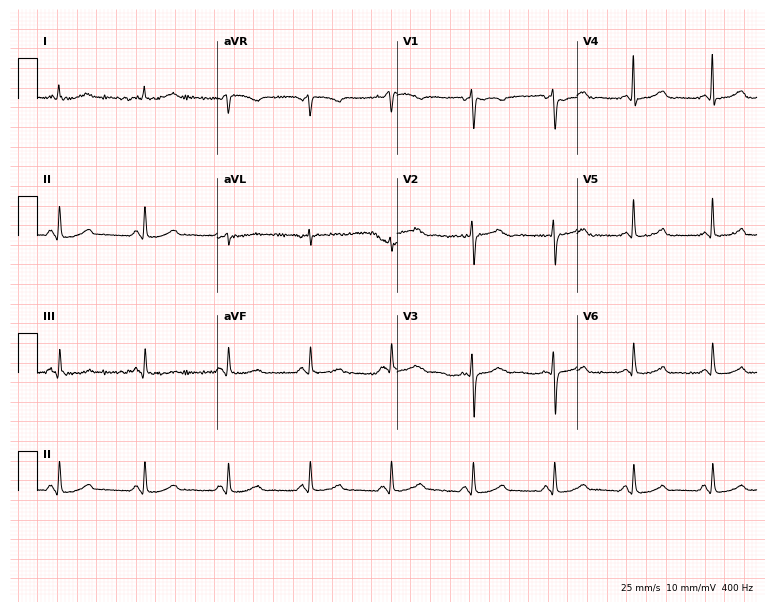
Resting 12-lead electrocardiogram. Patient: a 61-year-old woman. Read as a normal ECG.